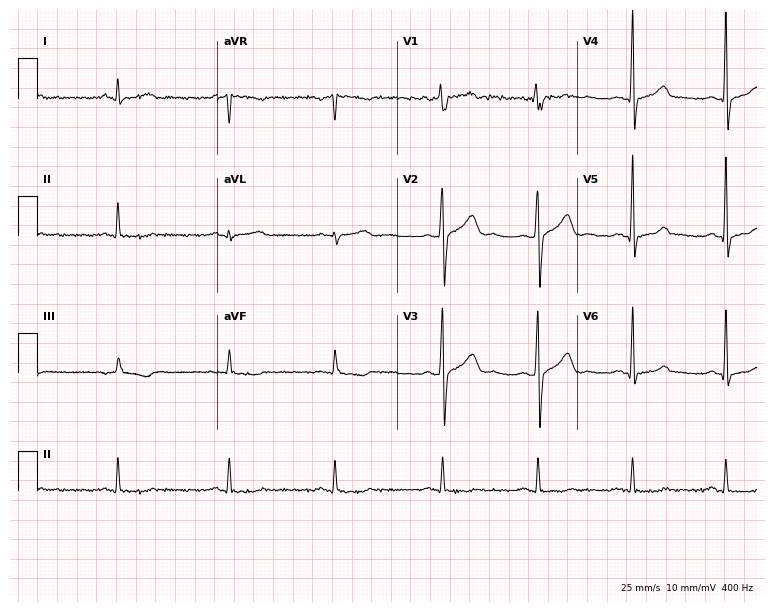
12-lead ECG from a man, 37 years old. Screened for six findings — first-degree AV block, right bundle branch block (RBBB), left bundle branch block (LBBB), sinus bradycardia, atrial fibrillation (AF), sinus tachycardia — none is recorded.